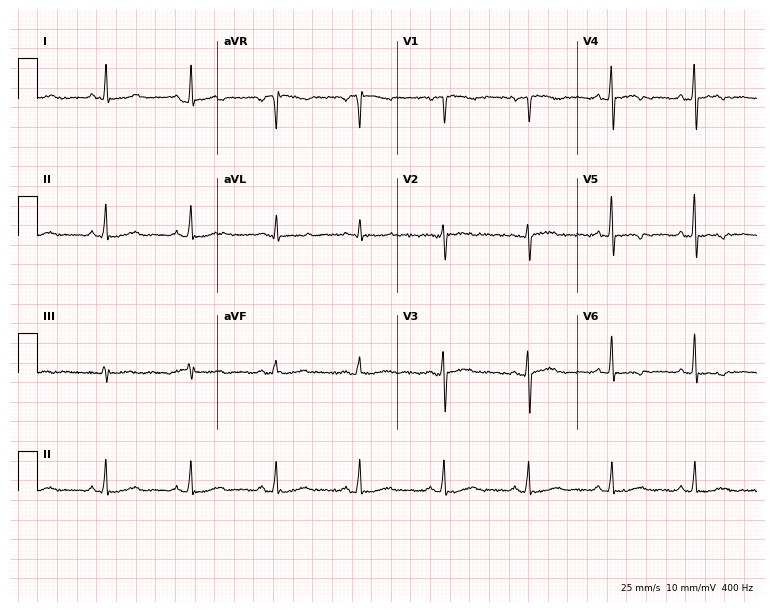
Standard 12-lead ECG recorded from a 55-year-old female. None of these six findings is recorded: first-degree AV block, right bundle branch block, left bundle branch block, sinus bradycardia, atrial fibrillation, sinus tachycardia.